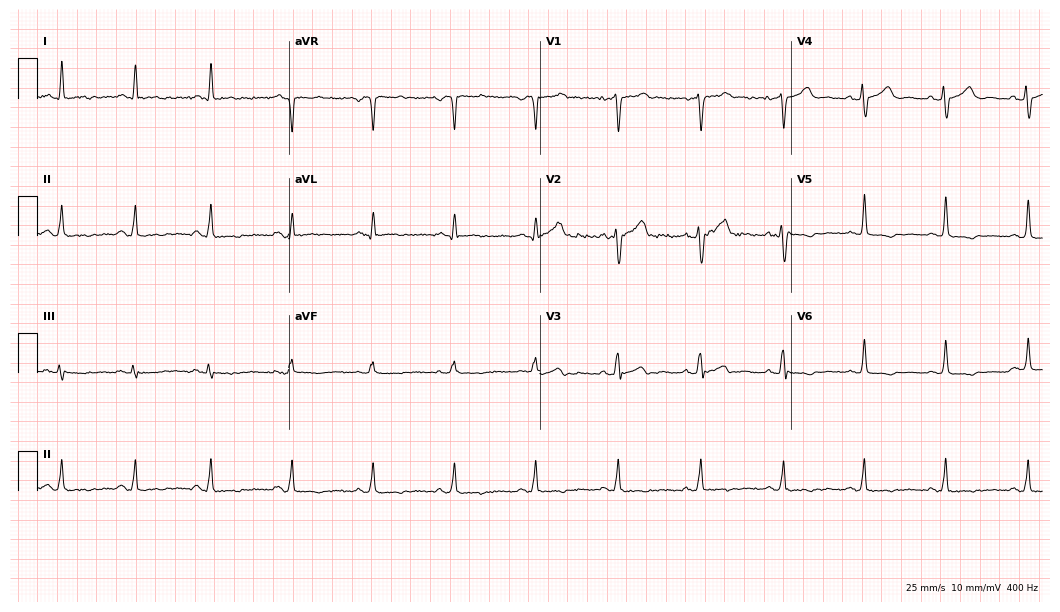
Resting 12-lead electrocardiogram. Patient: a 47-year-old male. Read as a normal ECG.